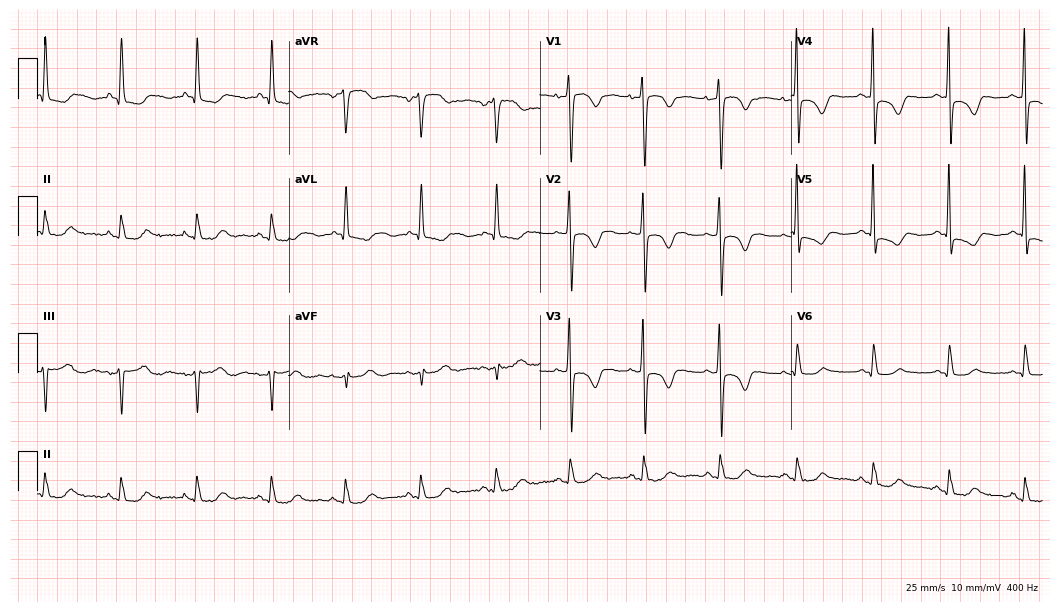
Resting 12-lead electrocardiogram. Patient: a 78-year-old female. None of these six findings is recorded: first-degree AV block, right bundle branch block, left bundle branch block, sinus bradycardia, atrial fibrillation, sinus tachycardia. Other findings, if any, are not listed.